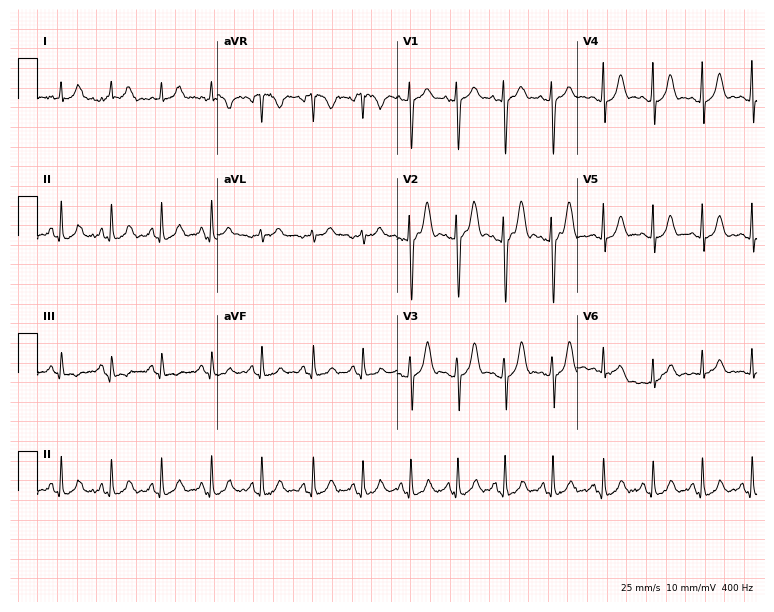
ECG — an 18-year-old female patient. Findings include sinus tachycardia (a sinus rate of 100 beats per minute or more).